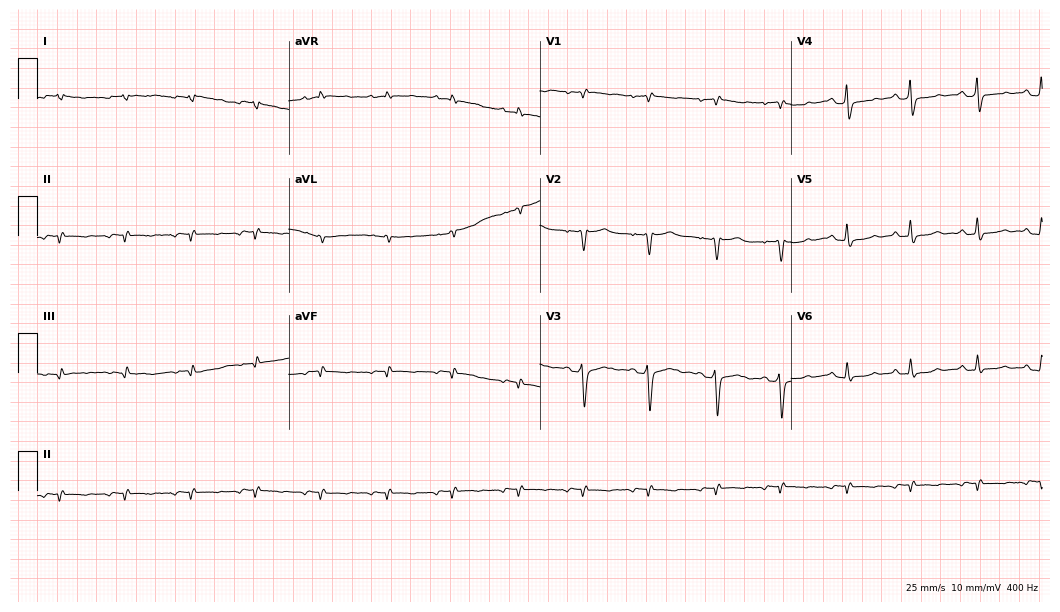
12-lead ECG from a 67-year-old female patient. No first-degree AV block, right bundle branch block, left bundle branch block, sinus bradycardia, atrial fibrillation or sinus tachycardia recorded for this tracing.